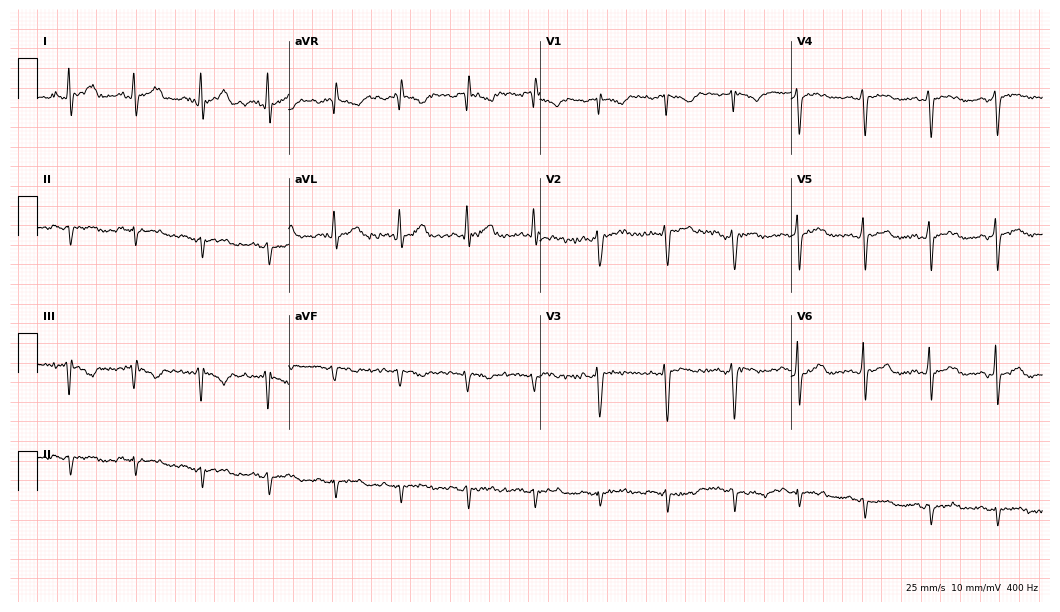
12-lead ECG from a male patient, 44 years old. Screened for six findings — first-degree AV block, right bundle branch block, left bundle branch block, sinus bradycardia, atrial fibrillation, sinus tachycardia — none is recorded.